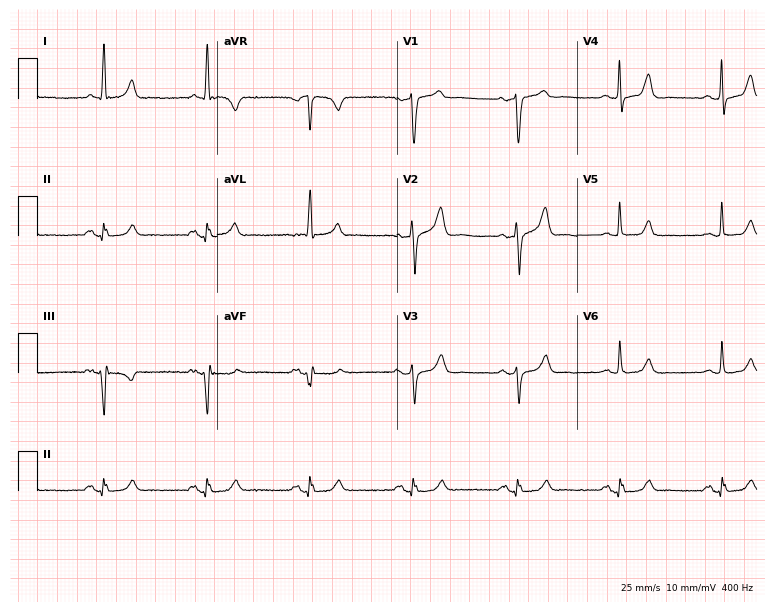
Resting 12-lead electrocardiogram (7.3-second recording at 400 Hz). Patient: a female, 77 years old. None of these six findings is recorded: first-degree AV block, right bundle branch block, left bundle branch block, sinus bradycardia, atrial fibrillation, sinus tachycardia.